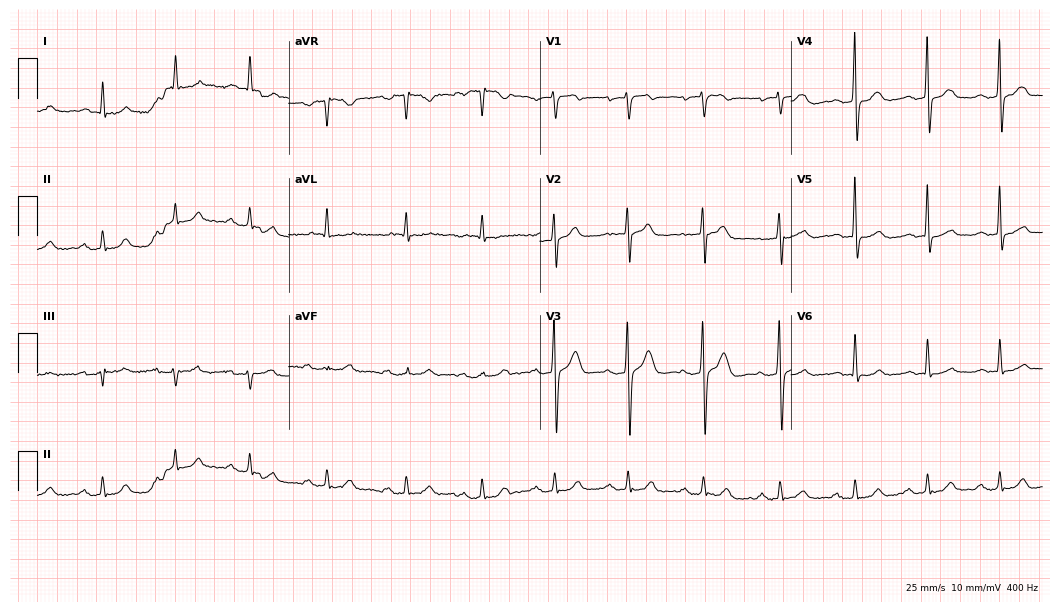
Electrocardiogram (10.2-second recording at 400 Hz), a 64-year-old man. Of the six screened findings (first-degree AV block, right bundle branch block, left bundle branch block, sinus bradycardia, atrial fibrillation, sinus tachycardia), none is recorded. Findings outside these six are not listed.